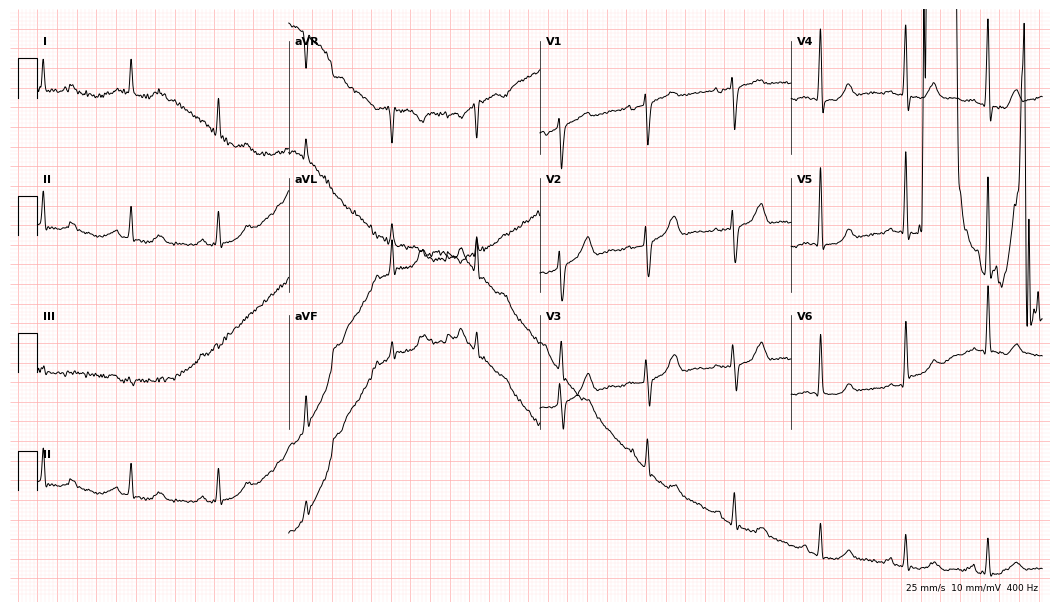
12-lead ECG from a 68-year-old woman. Screened for six findings — first-degree AV block, right bundle branch block, left bundle branch block, sinus bradycardia, atrial fibrillation, sinus tachycardia — none is recorded. Only these six findings were labelled.